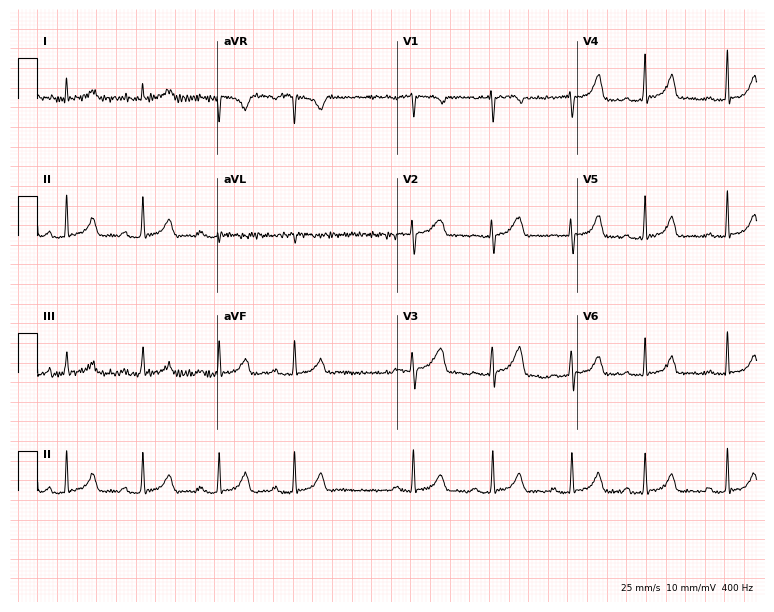
Resting 12-lead electrocardiogram (7.3-second recording at 400 Hz). Patient: a 28-year-old woman. The tracing shows first-degree AV block.